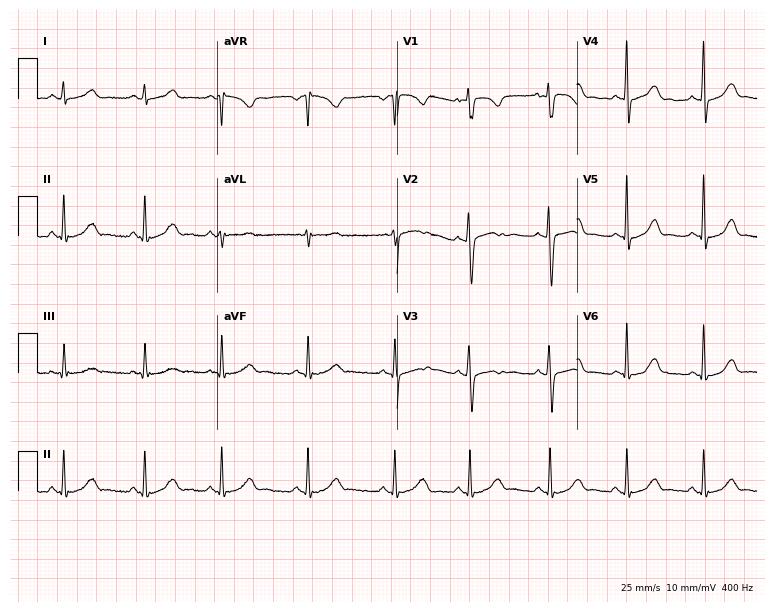
12-lead ECG (7.3-second recording at 400 Hz) from a 29-year-old female. Screened for six findings — first-degree AV block, right bundle branch block (RBBB), left bundle branch block (LBBB), sinus bradycardia, atrial fibrillation (AF), sinus tachycardia — none is recorded. Other findings, if any, are not listed.